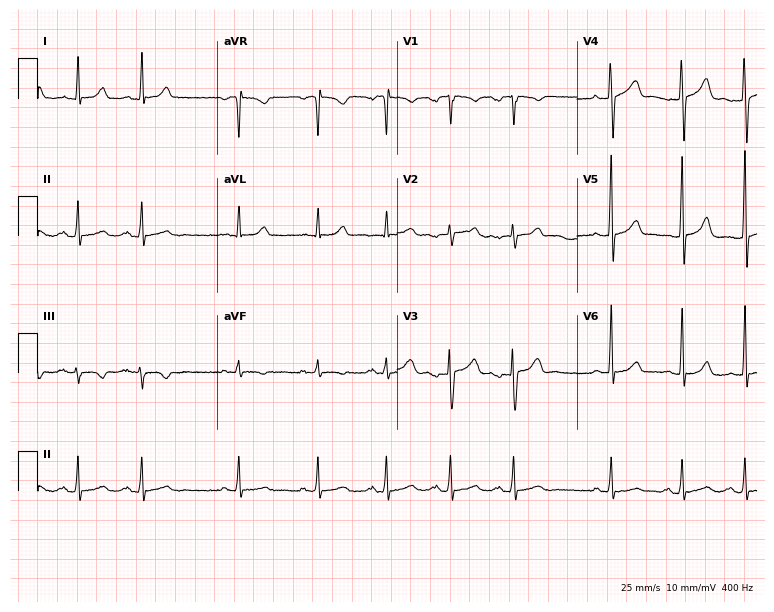
ECG (7.3-second recording at 400 Hz) — a 46-year-old female. Screened for six findings — first-degree AV block, right bundle branch block, left bundle branch block, sinus bradycardia, atrial fibrillation, sinus tachycardia — none is recorded. Findings outside these six are not listed.